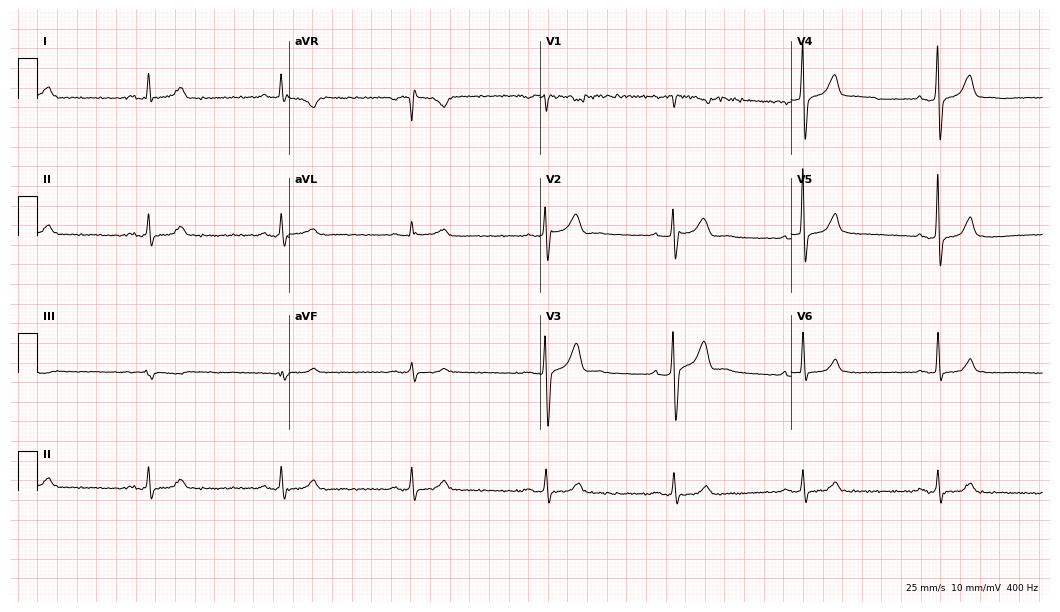
12-lead ECG from a 57-year-old male patient. Shows sinus bradycardia (a sinus rate of 50 beats per minute or less).